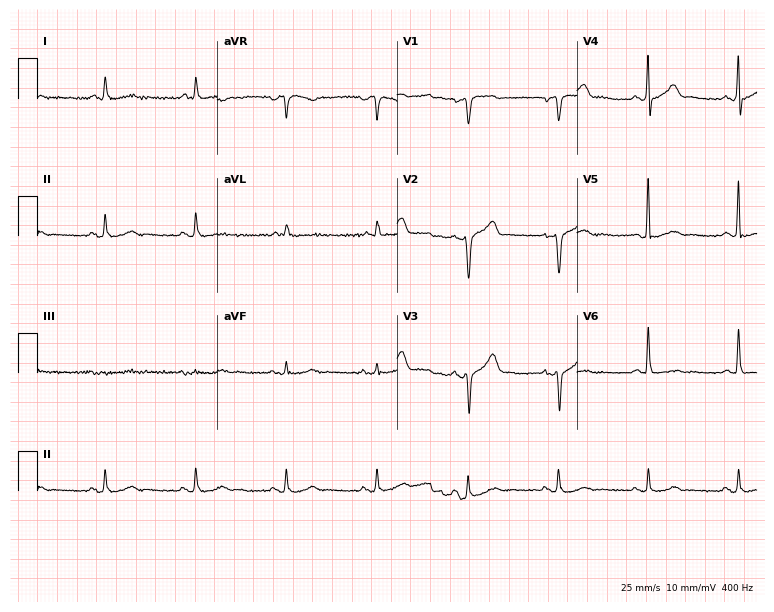
Standard 12-lead ECG recorded from an 83-year-old man. None of these six findings is recorded: first-degree AV block, right bundle branch block, left bundle branch block, sinus bradycardia, atrial fibrillation, sinus tachycardia.